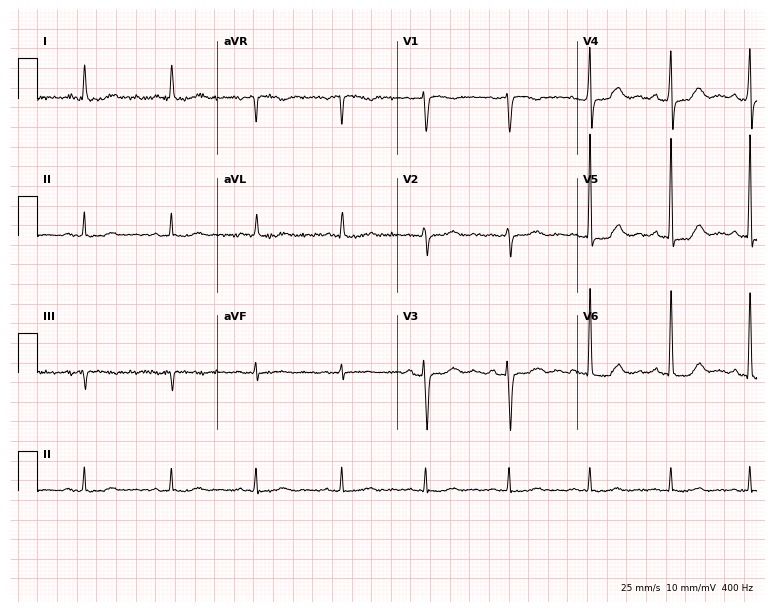
12-lead ECG from an 85-year-old female. Screened for six findings — first-degree AV block, right bundle branch block, left bundle branch block, sinus bradycardia, atrial fibrillation, sinus tachycardia — none is recorded.